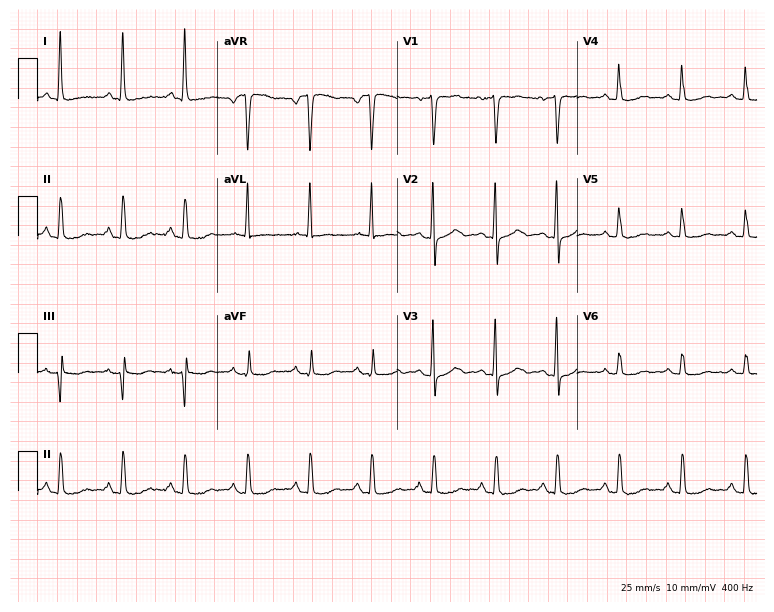
Standard 12-lead ECG recorded from a female, 53 years old. Read as a normal ECG.